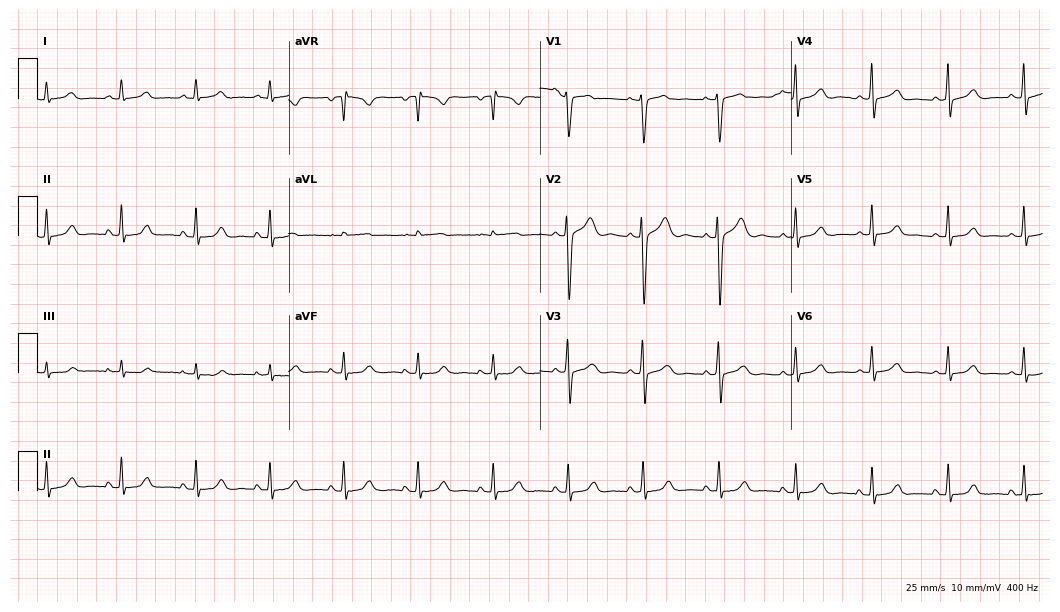
Electrocardiogram, a female patient, 38 years old. Overall reading on record: normal ECG.